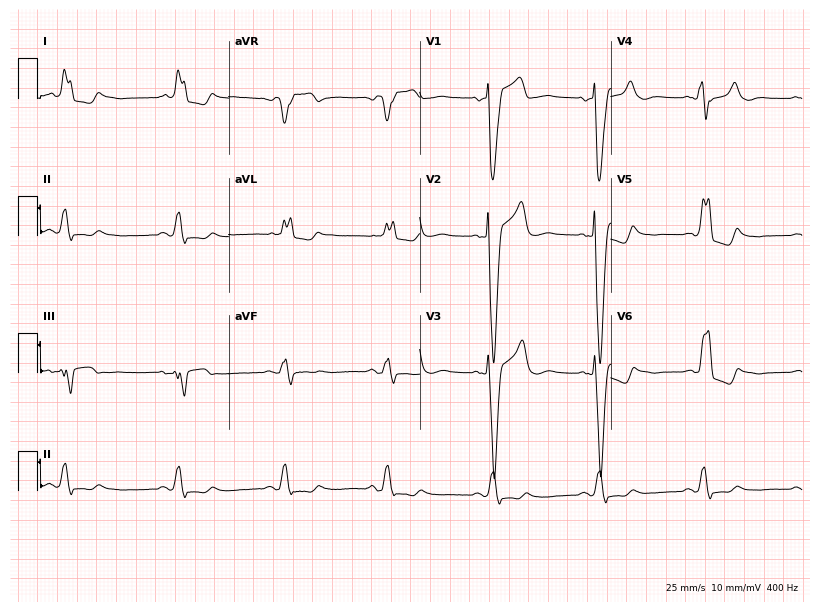
Resting 12-lead electrocardiogram. Patient: a female, 83 years old. None of these six findings is recorded: first-degree AV block, right bundle branch block, left bundle branch block, sinus bradycardia, atrial fibrillation, sinus tachycardia.